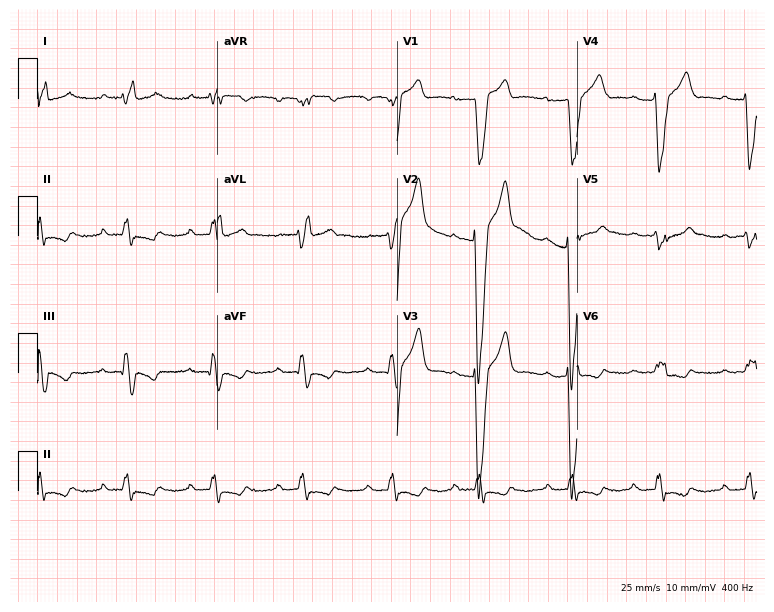
12-lead ECG from a man, 68 years old (7.3-second recording at 400 Hz). Shows first-degree AV block, left bundle branch block.